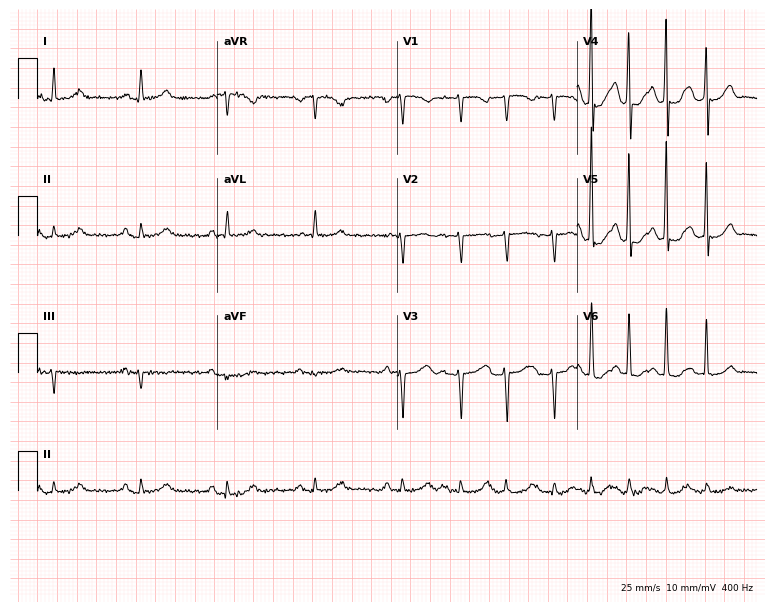
Electrocardiogram (7.3-second recording at 400 Hz), a female, 81 years old. Overall reading on record: normal ECG.